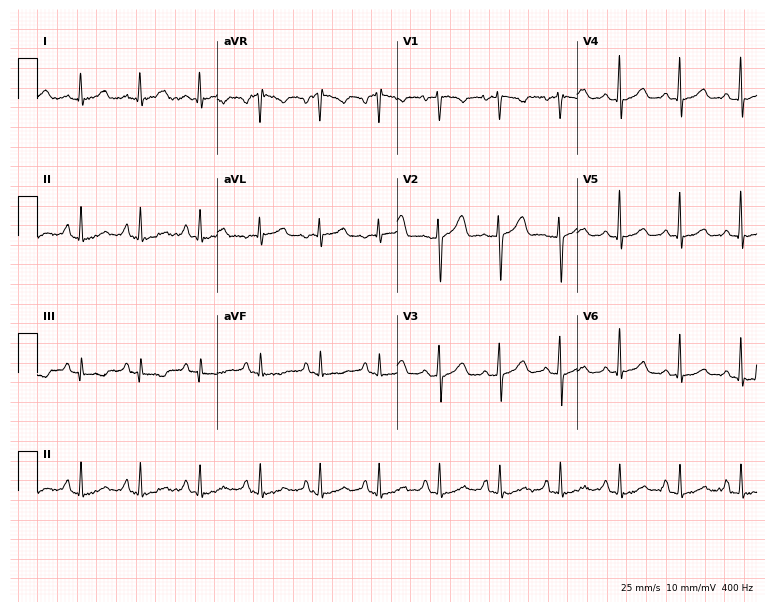
ECG — a 42-year-old woman. Screened for six findings — first-degree AV block, right bundle branch block, left bundle branch block, sinus bradycardia, atrial fibrillation, sinus tachycardia — none is recorded. Other findings, if any, are not listed.